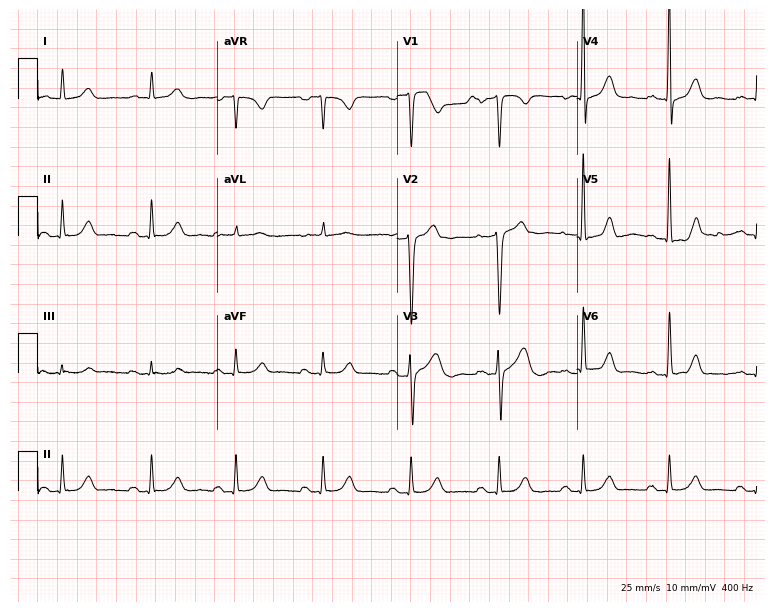
ECG (7.3-second recording at 400 Hz) — a male patient, 39 years old. Labelled as a normal ECG.